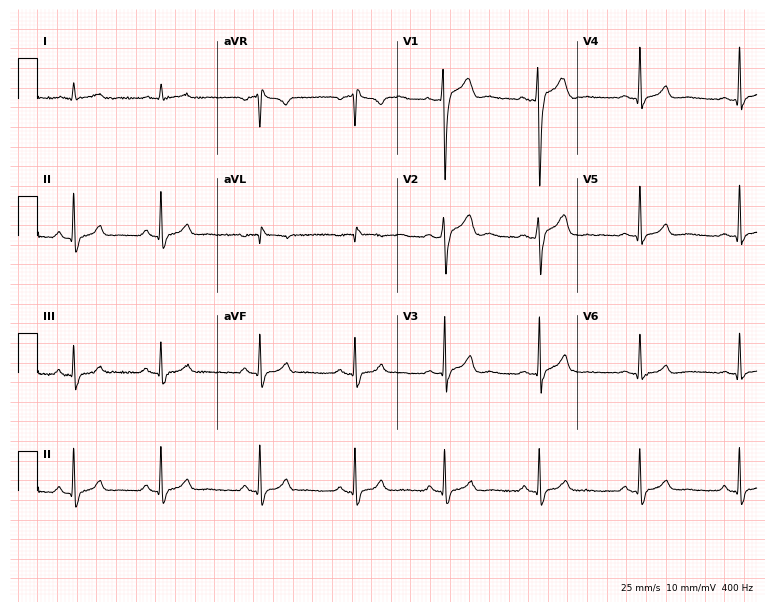
Electrocardiogram, a 29-year-old male. Of the six screened findings (first-degree AV block, right bundle branch block, left bundle branch block, sinus bradycardia, atrial fibrillation, sinus tachycardia), none is recorded.